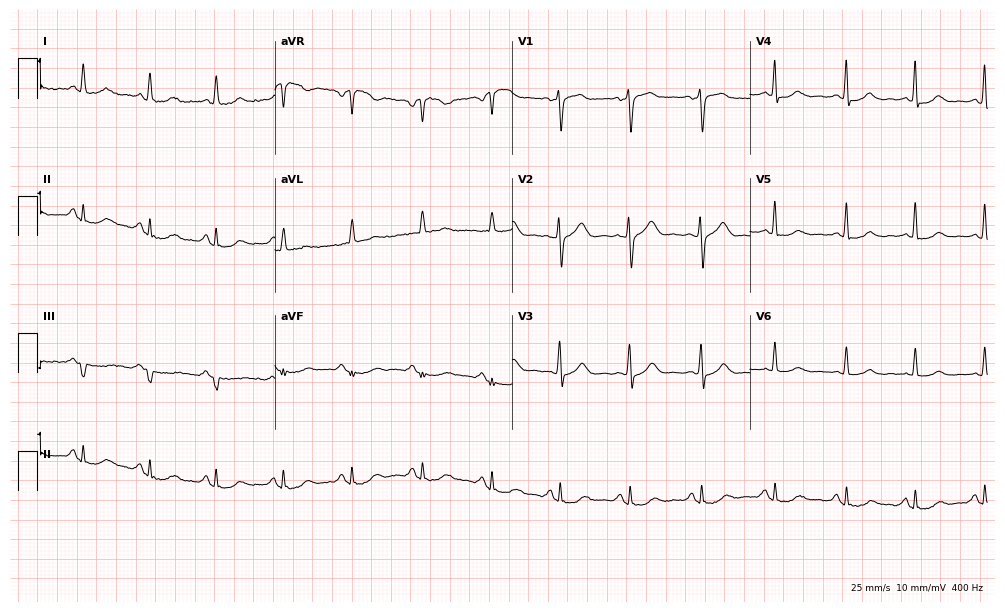
Resting 12-lead electrocardiogram (9.7-second recording at 400 Hz). Patient: a woman, 53 years old. Read as a normal ECG.